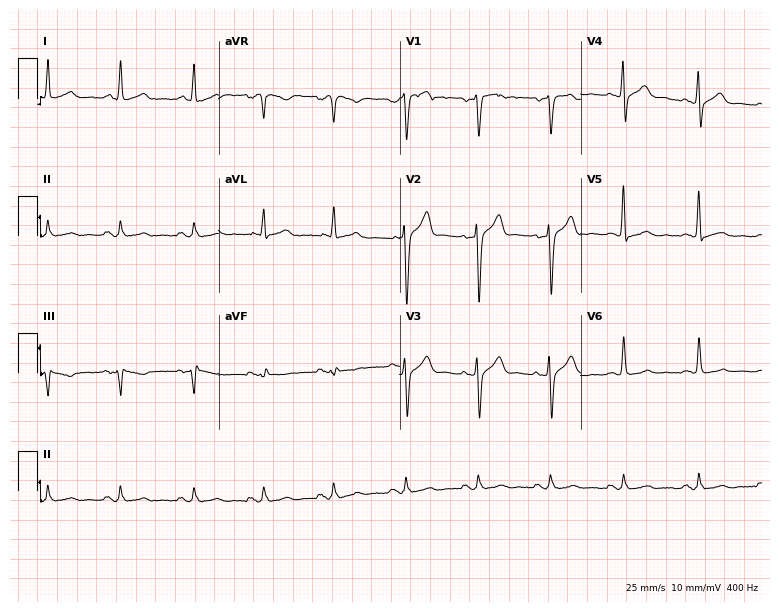
Standard 12-lead ECG recorded from a 40-year-old male patient. Read as a normal ECG.